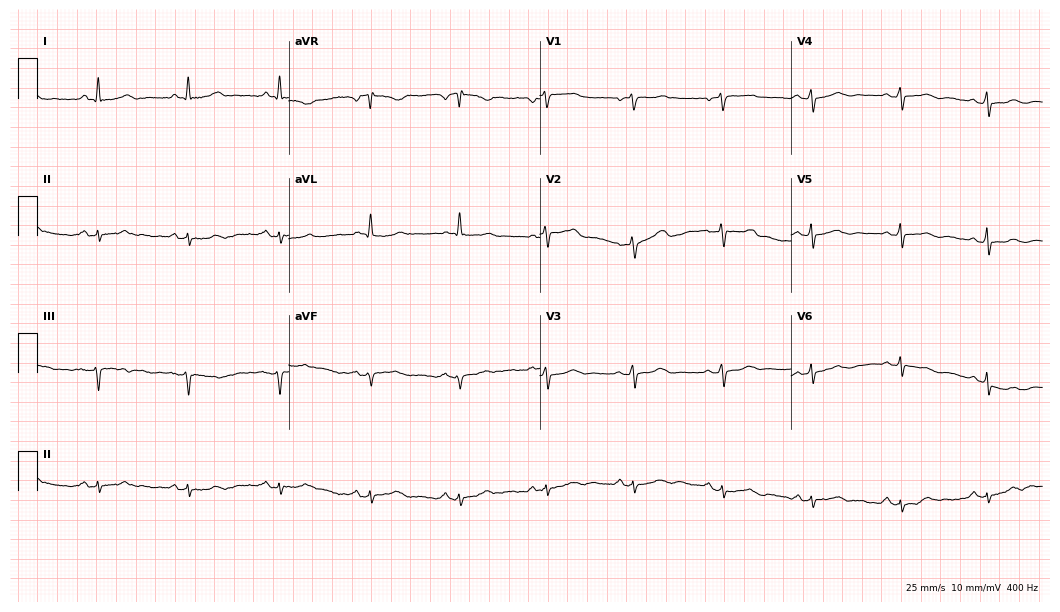
ECG — a 69-year-old female patient. Screened for six findings — first-degree AV block, right bundle branch block, left bundle branch block, sinus bradycardia, atrial fibrillation, sinus tachycardia — none is recorded.